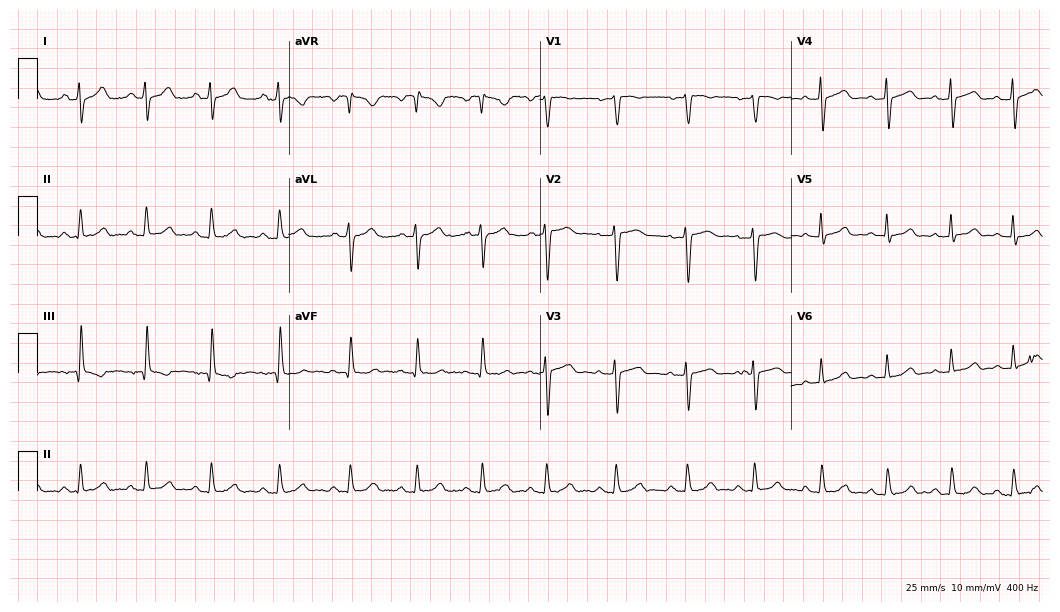
12-lead ECG from a female, 18 years old. Screened for six findings — first-degree AV block, right bundle branch block, left bundle branch block, sinus bradycardia, atrial fibrillation, sinus tachycardia — none is recorded. Other findings, if any, are not listed.